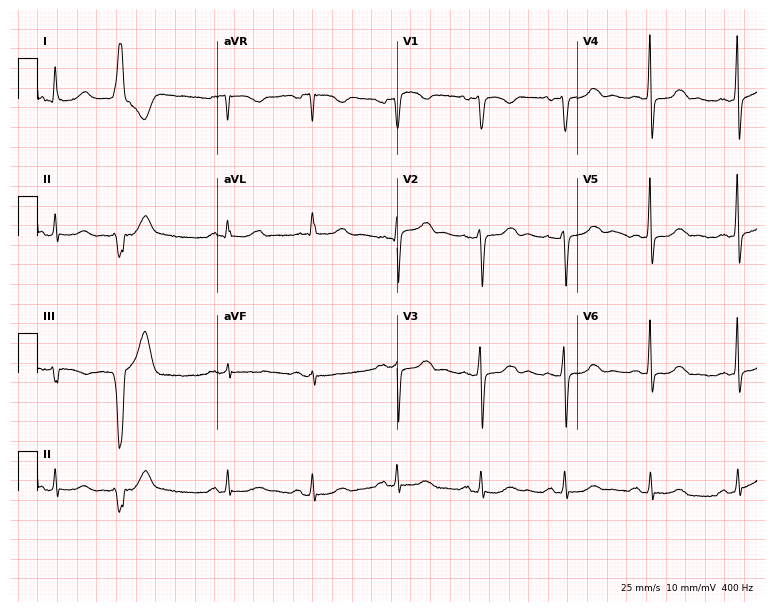
12-lead ECG from a female patient, 71 years old. No first-degree AV block, right bundle branch block, left bundle branch block, sinus bradycardia, atrial fibrillation or sinus tachycardia recorded for this tracing. Findings outside these six are not listed.